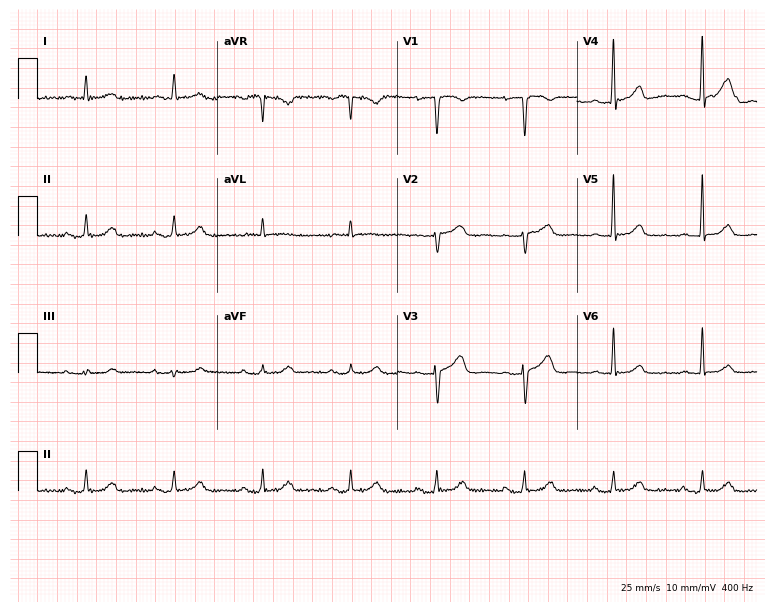
ECG — a female patient, 63 years old. Screened for six findings — first-degree AV block, right bundle branch block, left bundle branch block, sinus bradycardia, atrial fibrillation, sinus tachycardia — none is recorded.